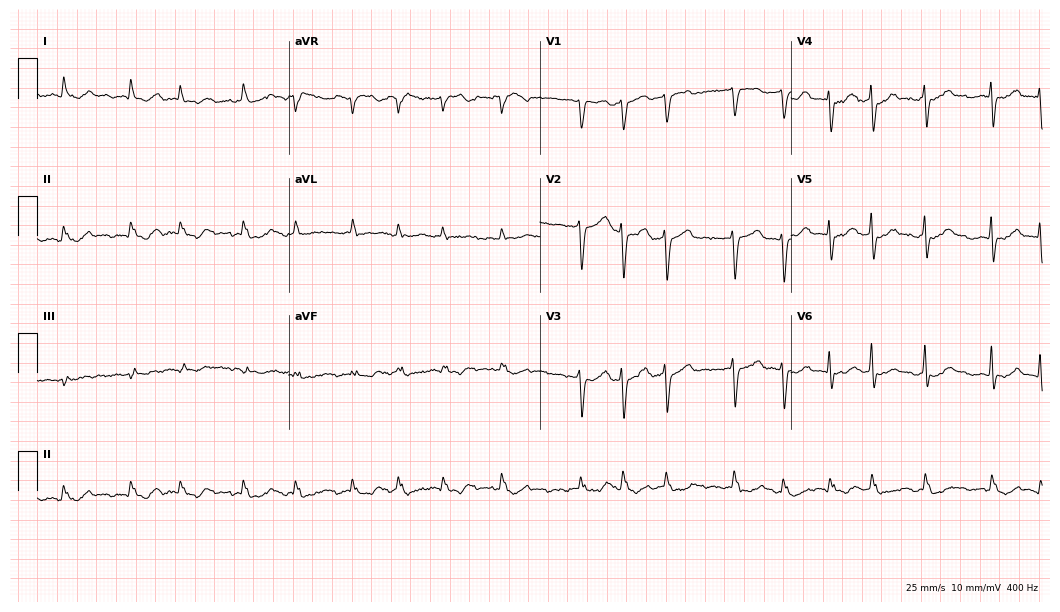
Standard 12-lead ECG recorded from a 74-year-old man (10.2-second recording at 400 Hz). The tracing shows atrial fibrillation.